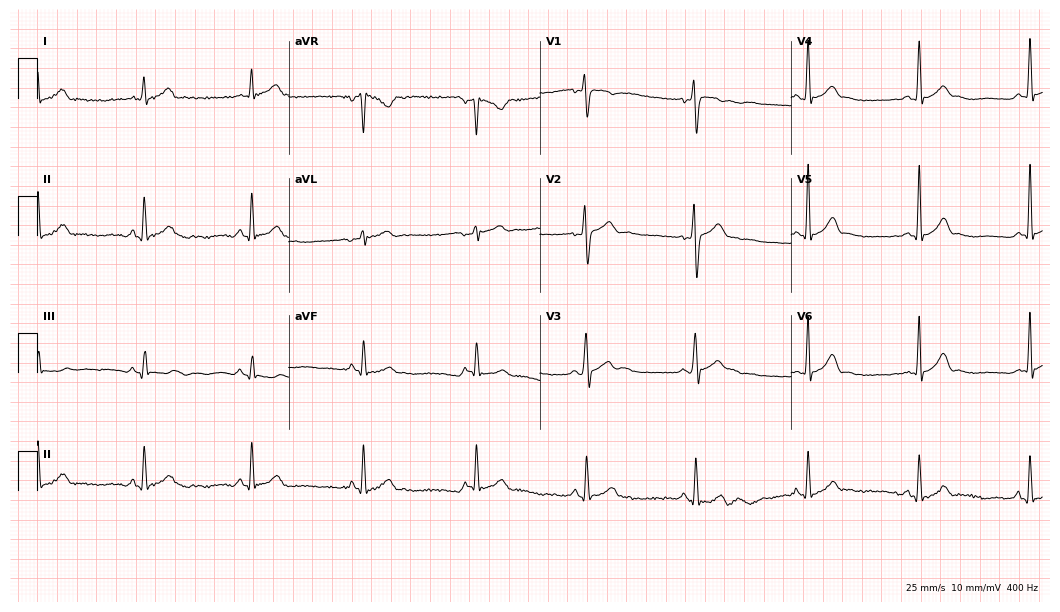
ECG (10.2-second recording at 400 Hz) — a 17-year-old man. Screened for six findings — first-degree AV block, right bundle branch block (RBBB), left bundle branch block (LBBB), sinus bradycardia, atrial fibrillation (AF), sinus tachycardia — none is recorded. Findings outside these six are not listed.